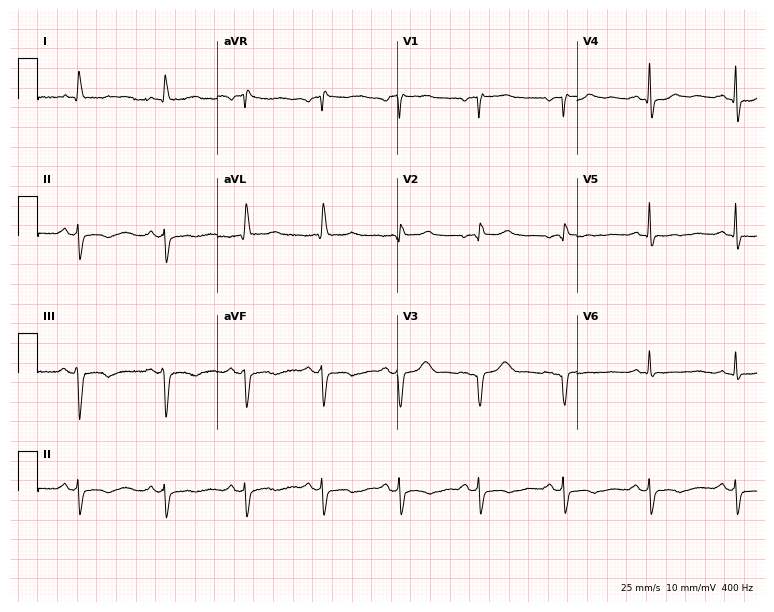
Standard 12-lead ECG recorded from a woman, 76 years old. None of these six findings is recorded: first-degree AV block, right bundle branch block (RBBB), left bundle branch block (LBBB), sinus bradycardia, atrial fibrillation (AF), sinus tachycardia. Only these six findings were labelled.